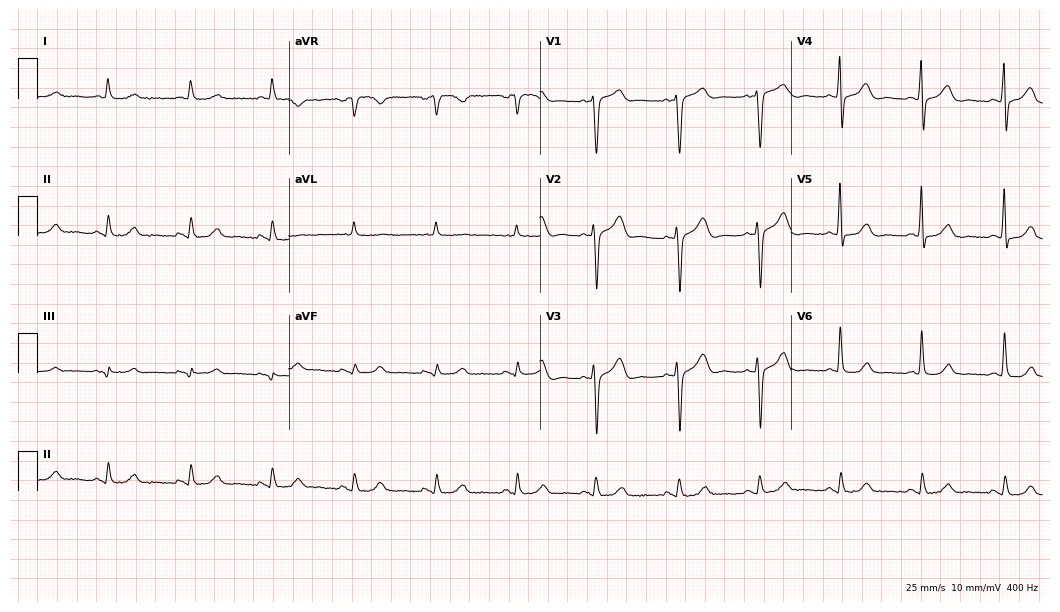
Resting 12-lead electrocardiogram. Patient: a male, 76 years old. Read as a normal ECG.